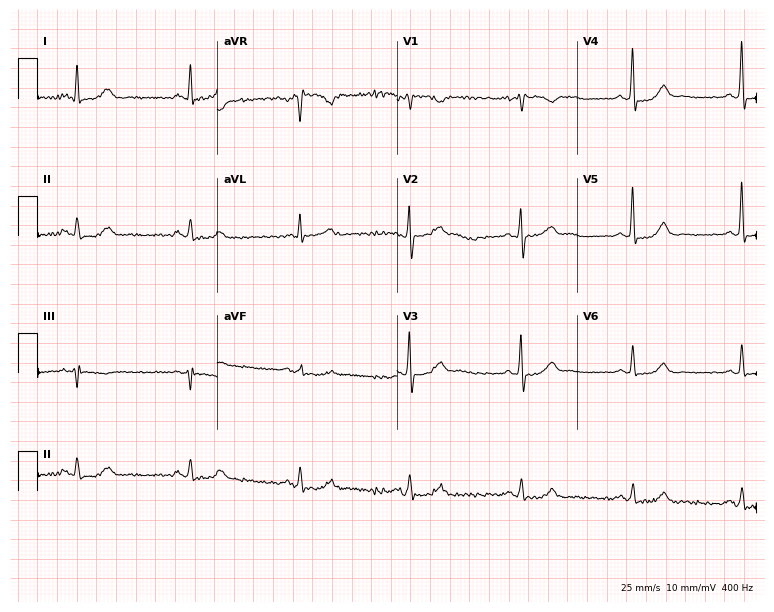
Electrocardiogram (7.3-second recording at 400 Hz), a female patient, 62 years old. Of the six screened findings (first-degree AV block, right bundle branch block, left bundle branch block, sinus bradycardia, atrial fibrillation, sinus tachycardia), none is recorded. Findings outside these six are not listed.